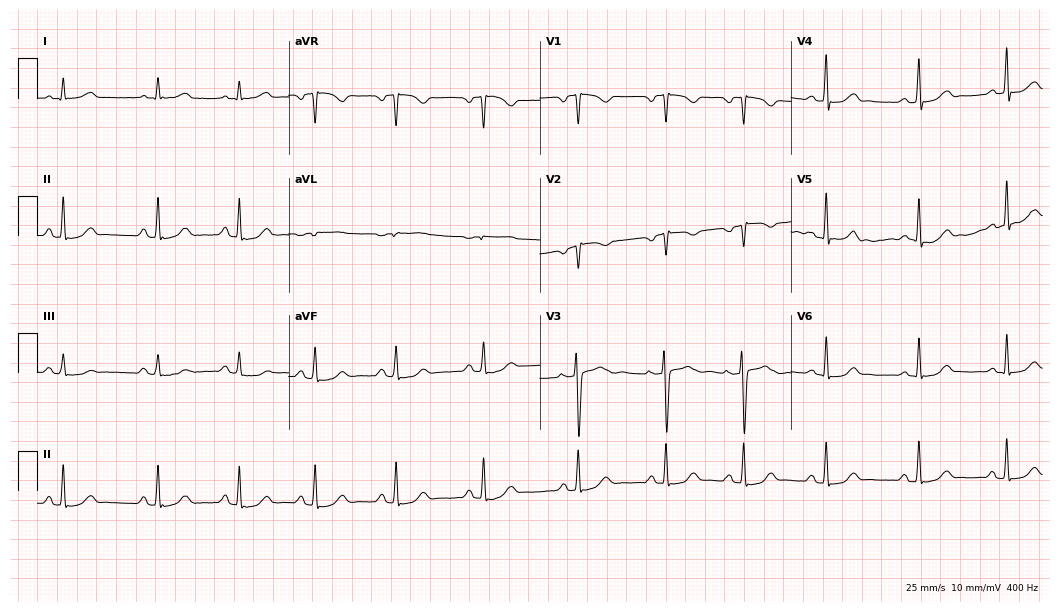
Resting 12-lead electrocardiogram. Patient: a female, 34 years old. Read as a normal ECG.